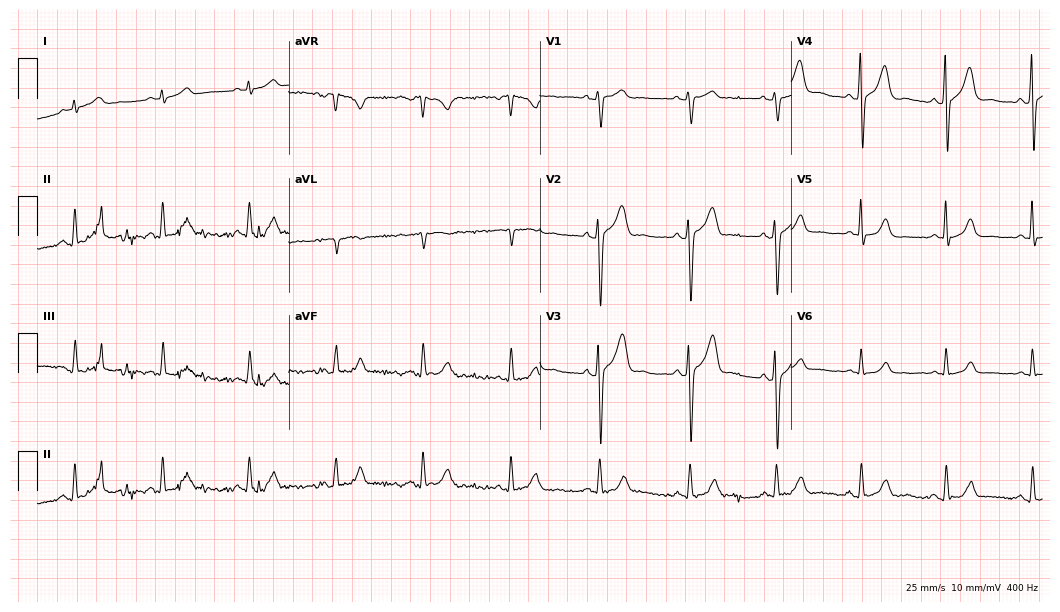
12-lead ECG from a 57-year-old man. Labelled as a normal ECG.